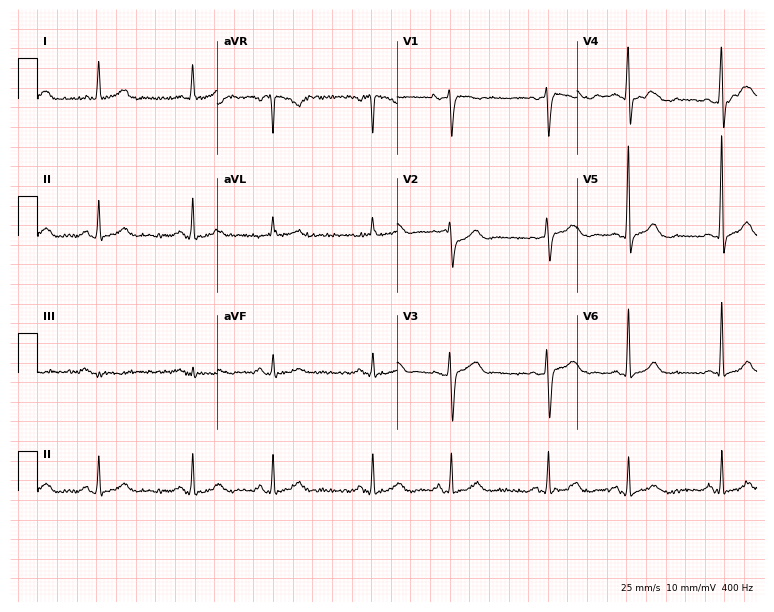
Electrocardiogram (7.3-second recording at 400 Hz), a female, 48 years old. Overall reading on record: normal ECG.